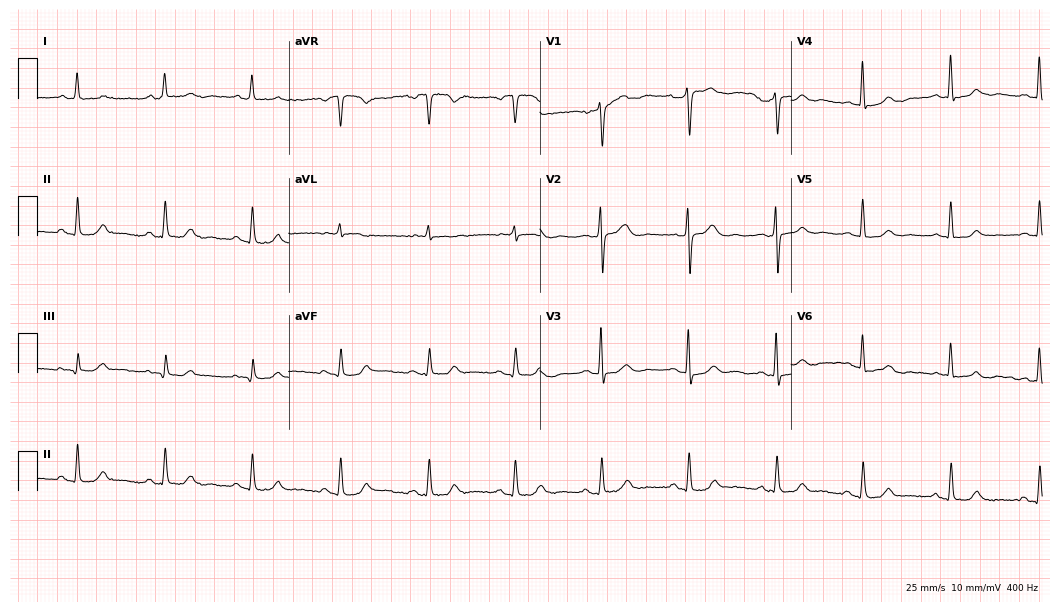
Resting 12-lead electrocardiogram. Patient: a female, 76 years old. None of these six findings is recorded: first-degree AV block, right bundle branch block (RBBB), left bundle branch block (LBBB), sinus bradycardia, atrial fibrillation (AF), sinus tachycardia. Other findings, if any, are not listed.